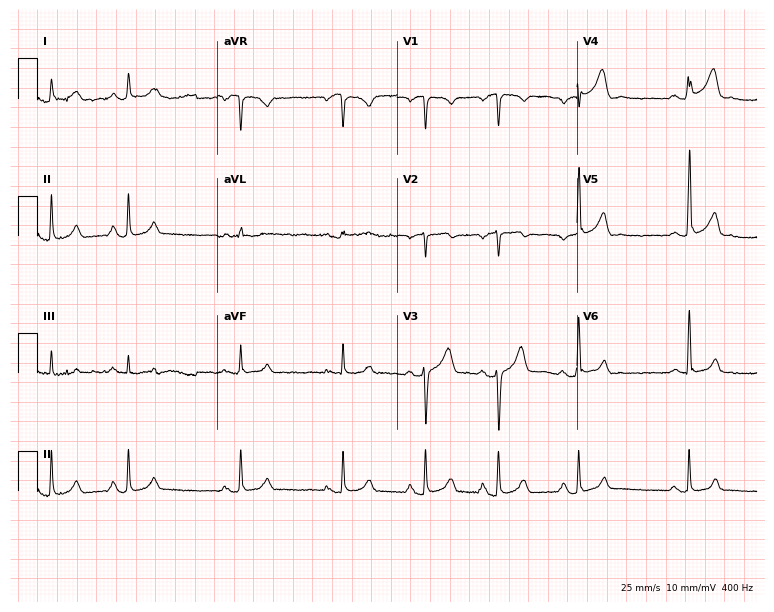
Electrocardiogram (7.3-second recording at 400 Hz), a male patient, 25 years old. Overall reading on record: normal ECG.